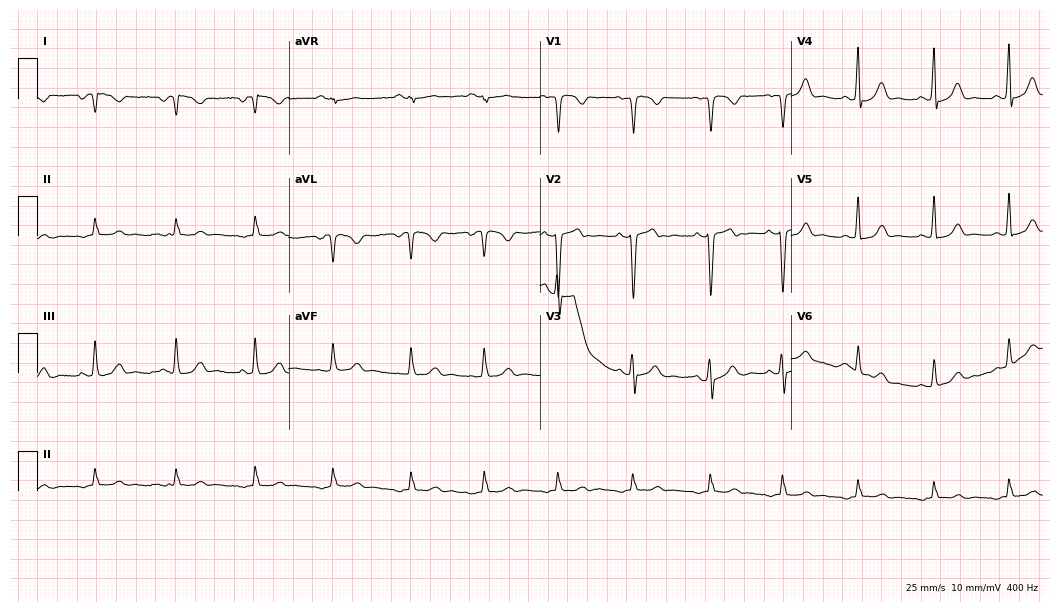
12-lead ECG (10.2-second recording at 400 Hz) from a 19-year-old woman. Screened for six findings — first-degree AV block, right bundle branch block, left bundle branch block, sinus bradycardia, atrial fibrillation, sinus tachycardia — none is recorded.